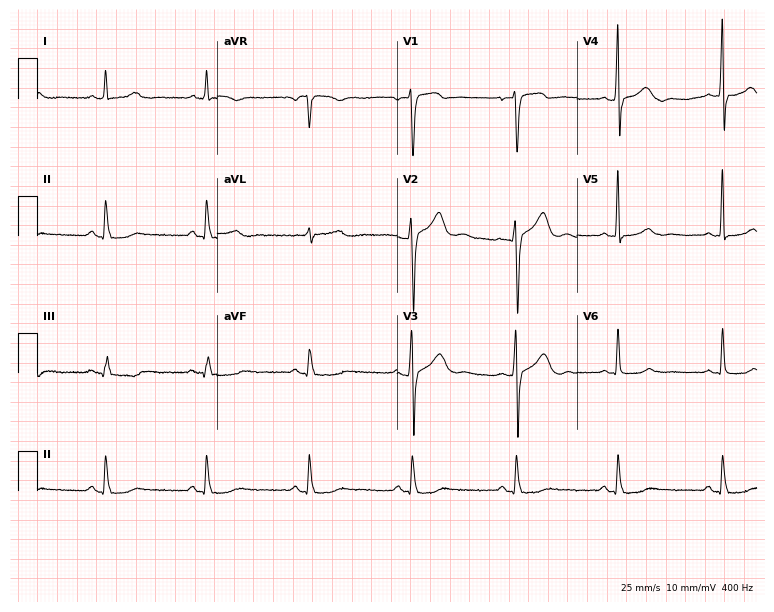
Standard 12-lead ECG recorded from a 41-year-old man (7.3-second recording at 400 Hz). Read as a normal ECG.